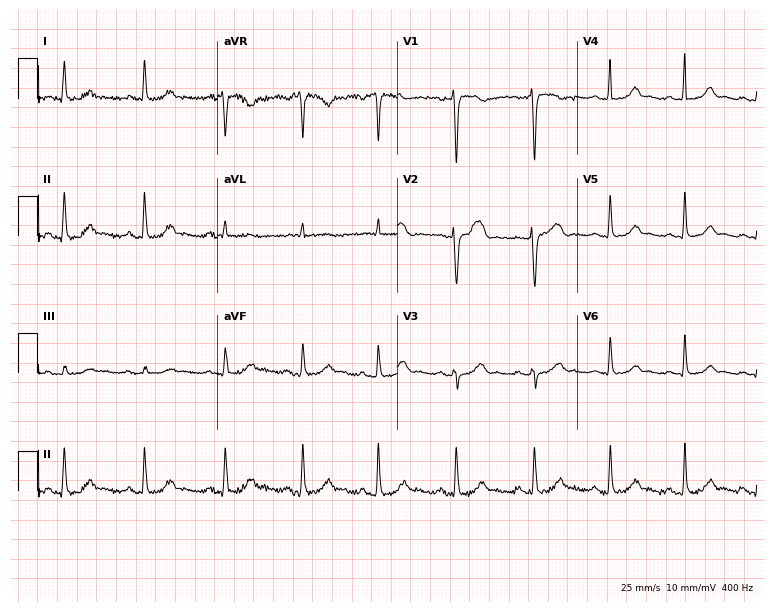
Resting 12-lead electrocardiogram. Patient: a 40-year-old woman. None of these six findings is recorded: first-degree AV block, right bundle branch block, left bundle branch block, sinus bradycardia, atrial fibrillation, sinus tachycardia.